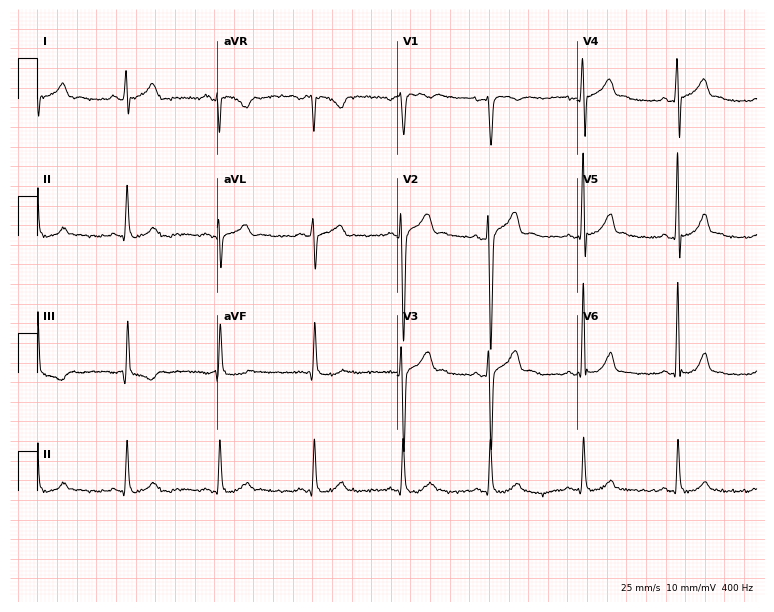
Electrocardiogram (7.3-second recording at 400 Hz), a 31-year-old male patient. Overall reading on record: normal ECG.